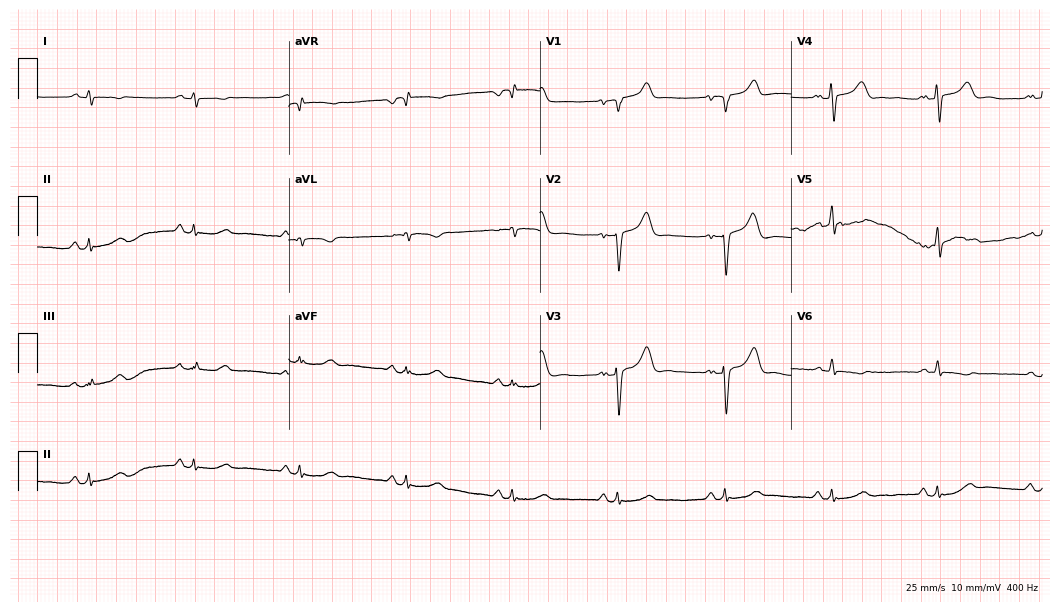
ECG (10.2-second recording at 400 Hz) — a 58-year-old man. Screened for six findings — first-degree AV block, right bundle branch block, left bundle branch block, sinus bradycardia, atrial fibrillation, sinus tachycardia — none is recorded.